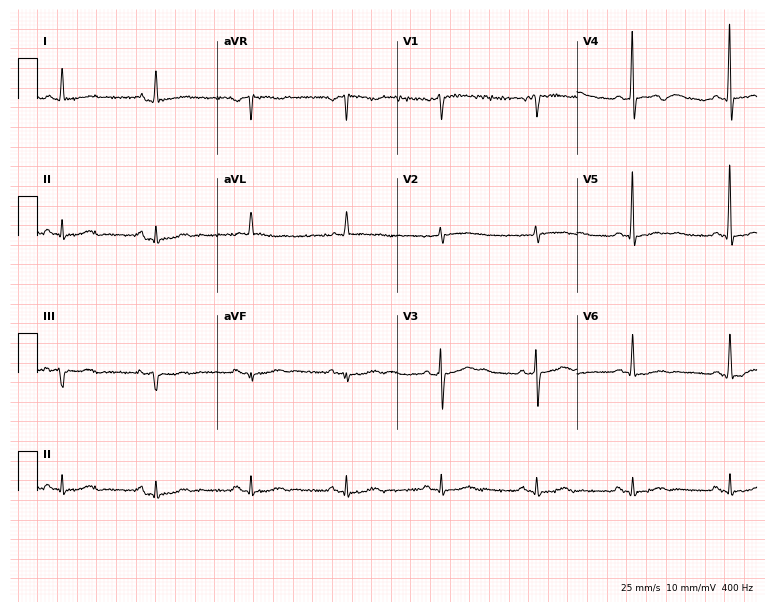
Standard 12-lead ECG recorded from a male, 71 years old. None of these six findings is recorded: first-degree AV block, right bundle branch block, left bundle branch block, sinus bradycardia, atrial fibrillation, sinus tachycardia. Only these six findings were labelled.